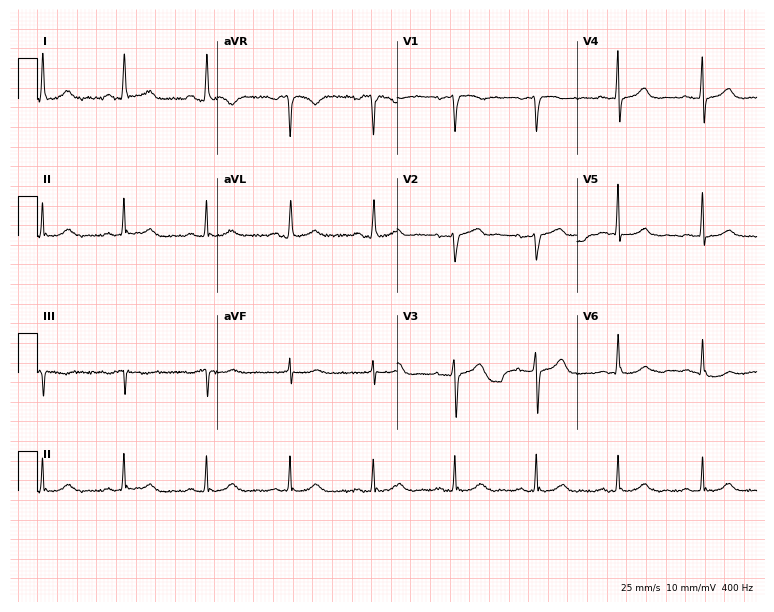
12-lead ECG from a woman, 77 years old. Screened for six findings — first-degree AV block, right bundle branch block (RBBB), left bundle branch block (LBBB), sinus bradycardia, atrial fibrillation (AF), sinus tachycardia — none is recorded.